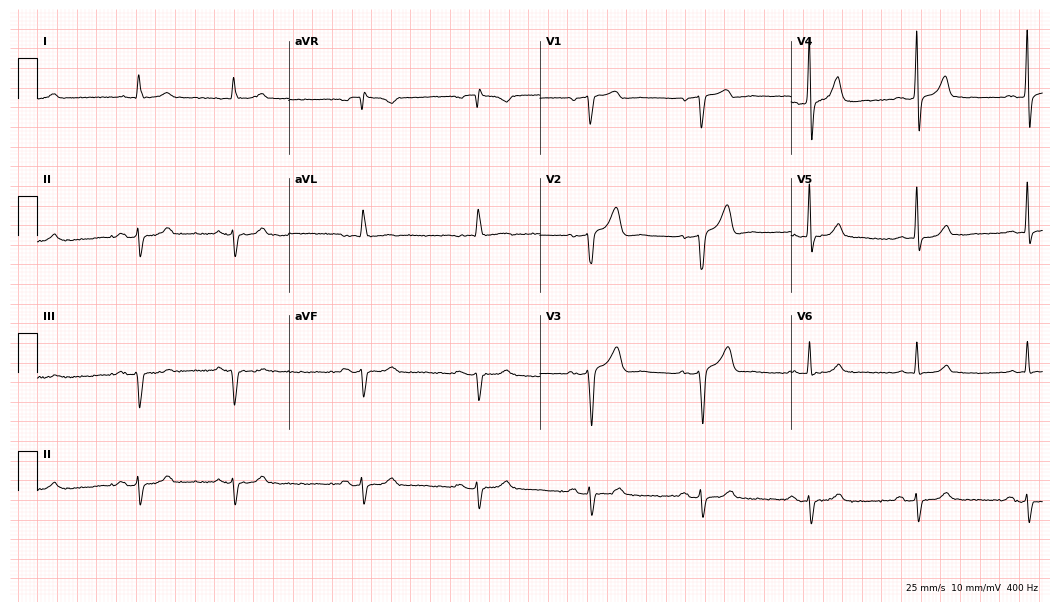
Electrocardiogram (10.2-second recording at 400 Hz), a 24-year-old male patient. Of the six screened findings (first-degree AV block, right bundle branch block, left bundle branch block, sinus bradycardia, atrial fibrillation, sinus tachycardia), none is recorded. Other findings, if any, are not listed.